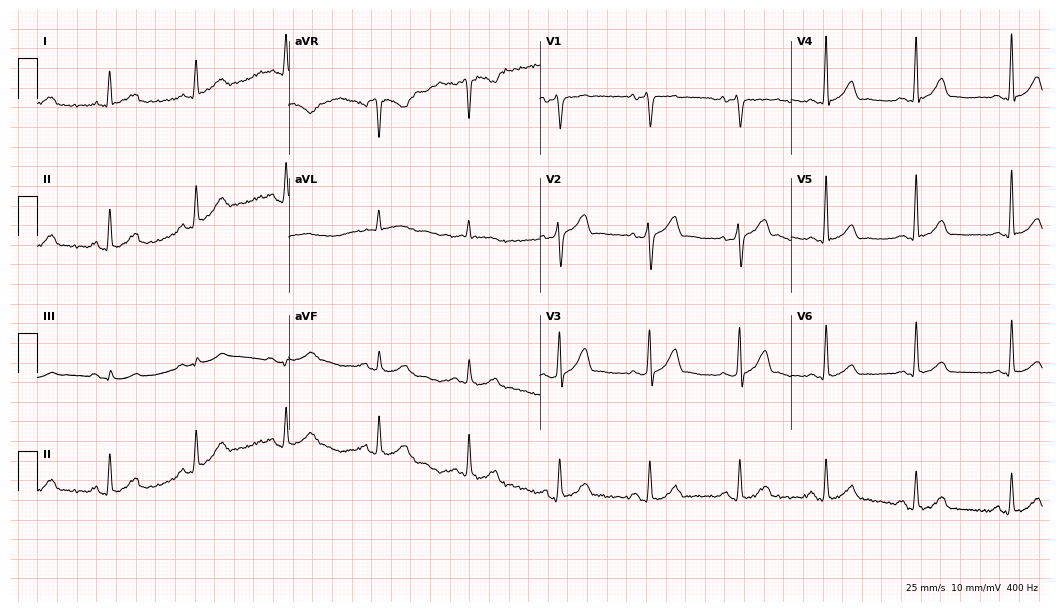
Standard 12-lead ECG recorded from a 33-year-old male patient (10.2-second recording at 400 Hz). Read as a normal ECG.